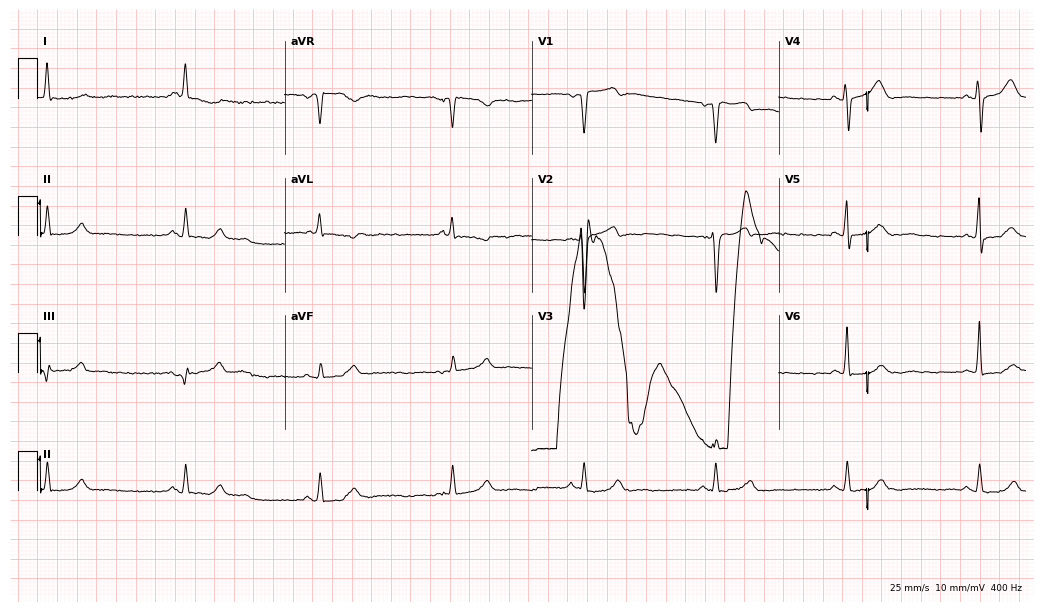
12-lead ECG from a male, 60 years old. No first-degree AV block, right bundle branch block, left bundle branch block, sinus bradycardia, atrial fibrillation or sinus tachycardia recorded for this tracing. Other findings, if any, are not listed.